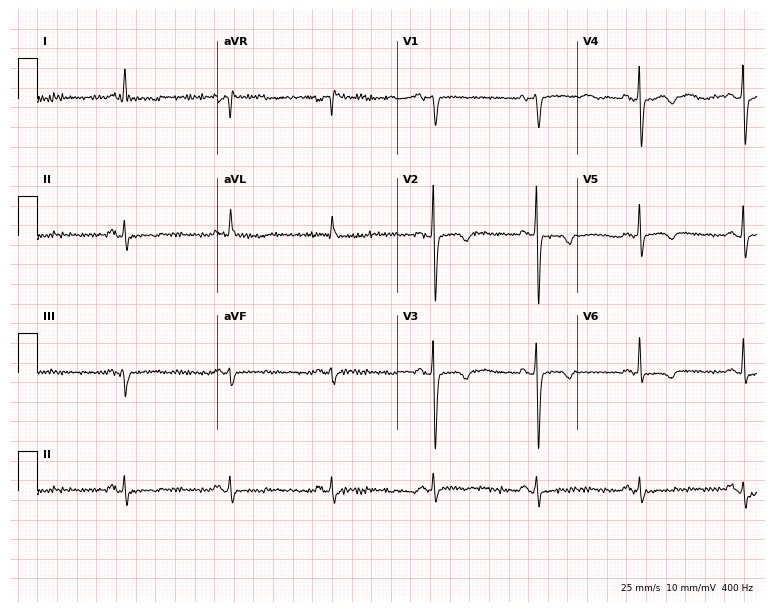
12-lead ECG from a 54-year-old female patient. Screened for six findings — first-degree AV block, right bundle branch block, left bundle branch block, sinus bradycardia, atrial fibrillation, sinus tachycardia — none is recorded. Only these six findings were labelled.